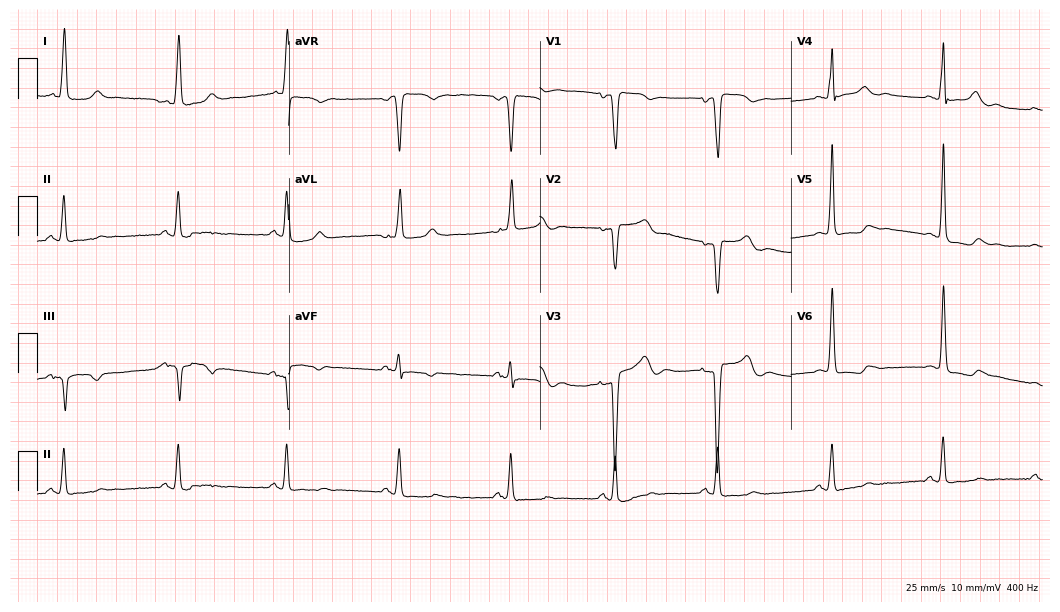
12-lead ECG (10.2-second recording at 400 Hz) from a woman, 84 years old. Screened for six findings — first-degree AV block, right bundle branch block, left bundle branch block, sinus bradycardia, atrial fibrillation, sinus tachycardia — none is recorded.